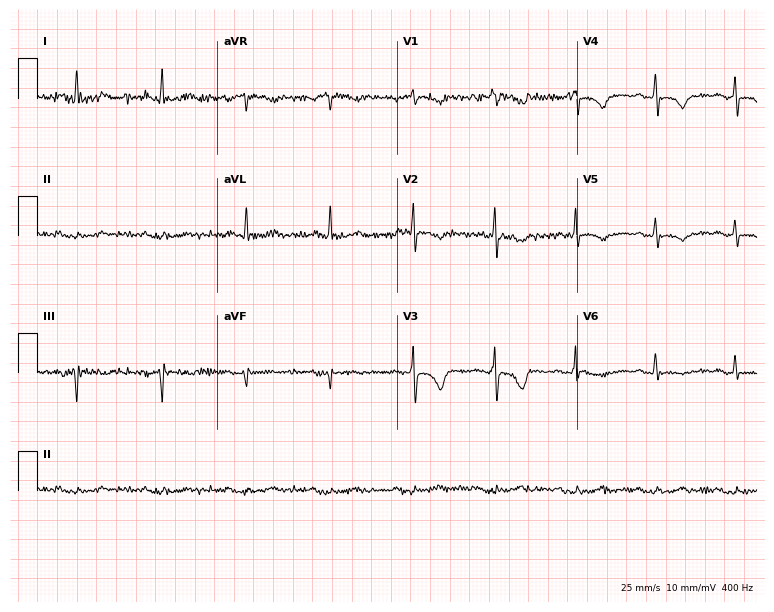
Electrocardiogram, a 69-year-old female. Of the six screened findings (first-degree AV block, right bundle branch block, left bundle branch block, sinus bradycardia, atrial fibrillation, sinus tachycardia), none is recorded.